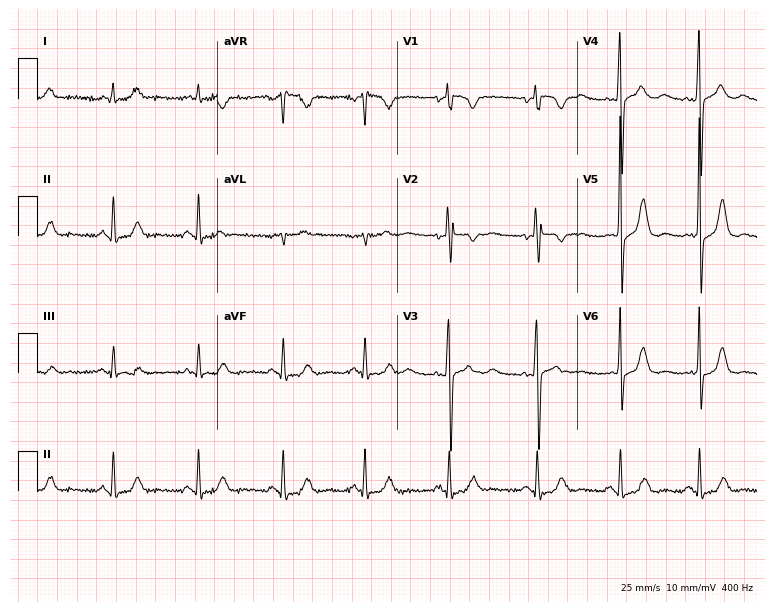
ECG — a 63-year-old male. Labelled as a normal ECG.